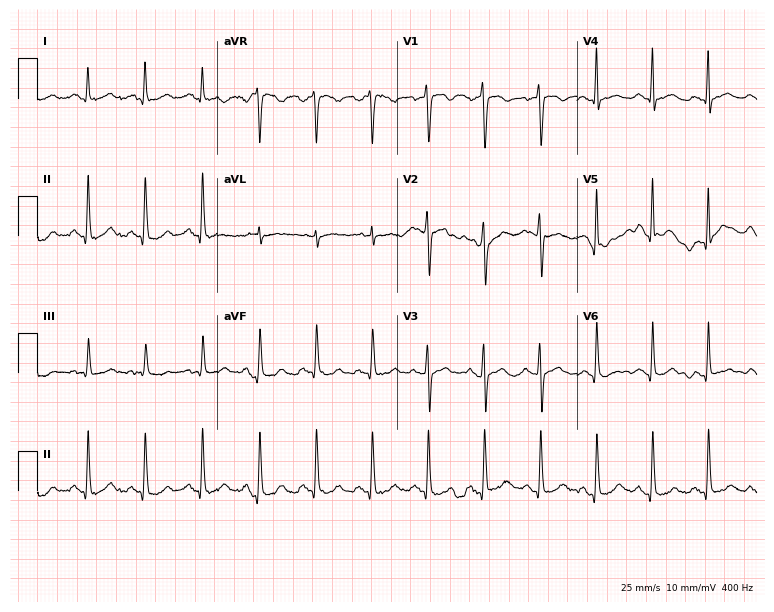
Resting 12-lead electrocardiogram. Patient: a 47-year-old female. None of these six findings is recorded: first-degree AV block, right bundle branch block, left bundle branch block, sinus bradycardia, atrial fibrillation, sinus tachycardia.